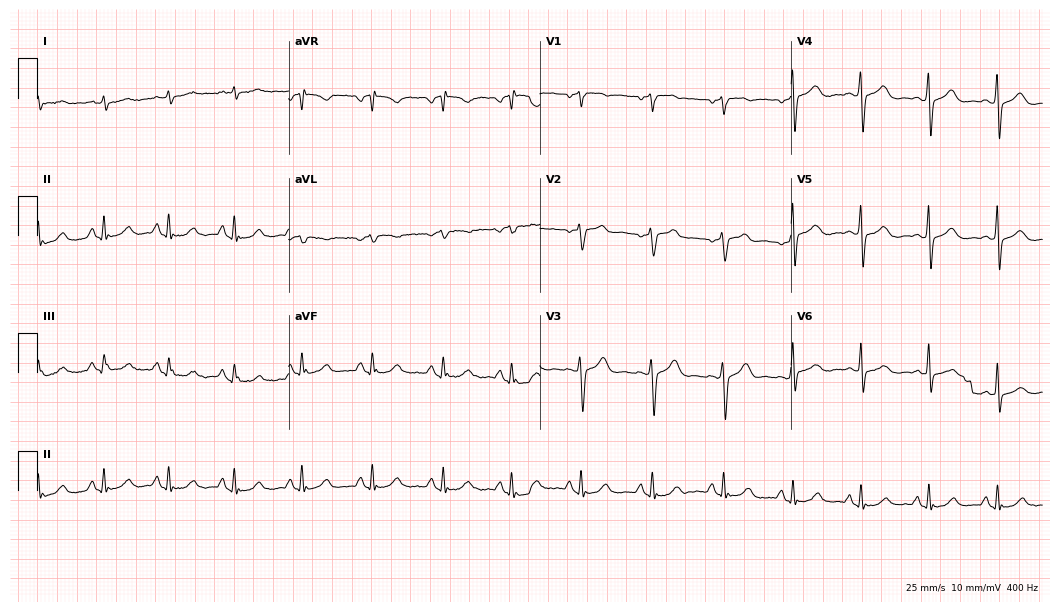
12-lead ECG (10.2-second recording at 400 Hz) from a 63-year-old male. Labelled as a normal ECG.